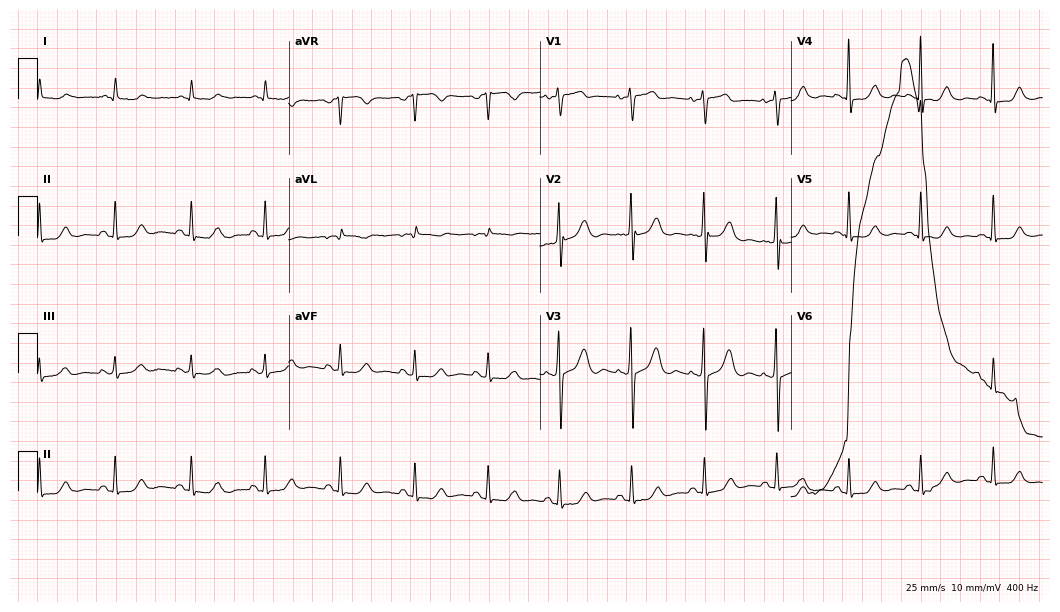
12-lead ECG from a 71-year-old female (10.2-second recording at 400 Hz). No first-degree AV block, right bundle branch block, left bundle branch block, sinus bradycardia, atrial fibrillation or sinus tachycardia recorded for this tracing. Other findings, if any, are not listed.